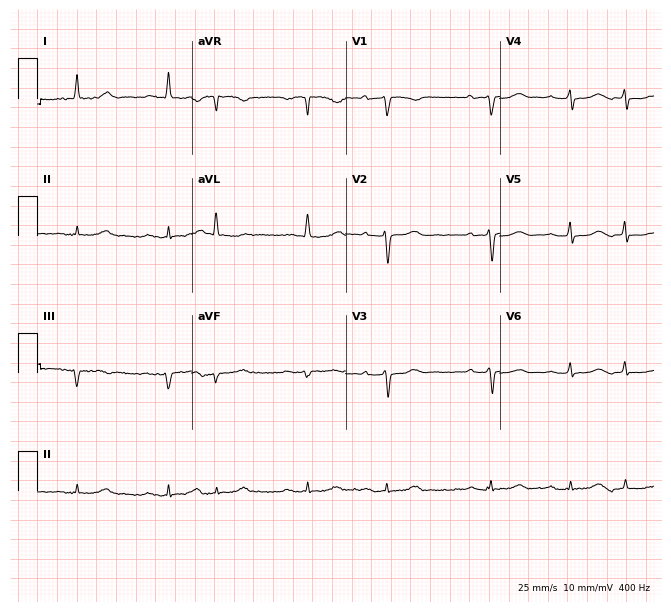
ECG — a 63-year-old female. Screened for six findings — first-degree AV block, right bundle branch block, left bundle branch block, sinus bradycardia, atrial fibrillation, sinus tachycardia — none is recorded. Only these six findings were labelled.